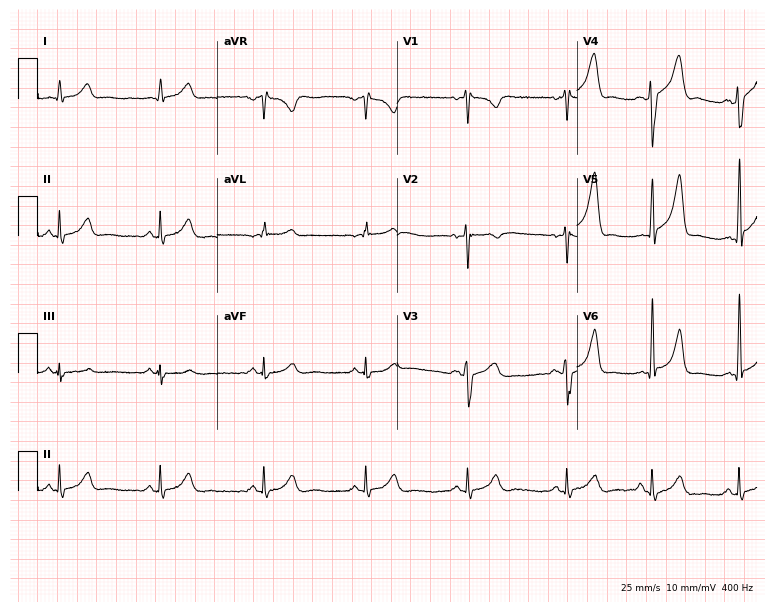
Resting 12-lead electrocardiogram (7.3-second recording at 400 Hz). Patient: a male, 30 years old. Read as a normal ECG.